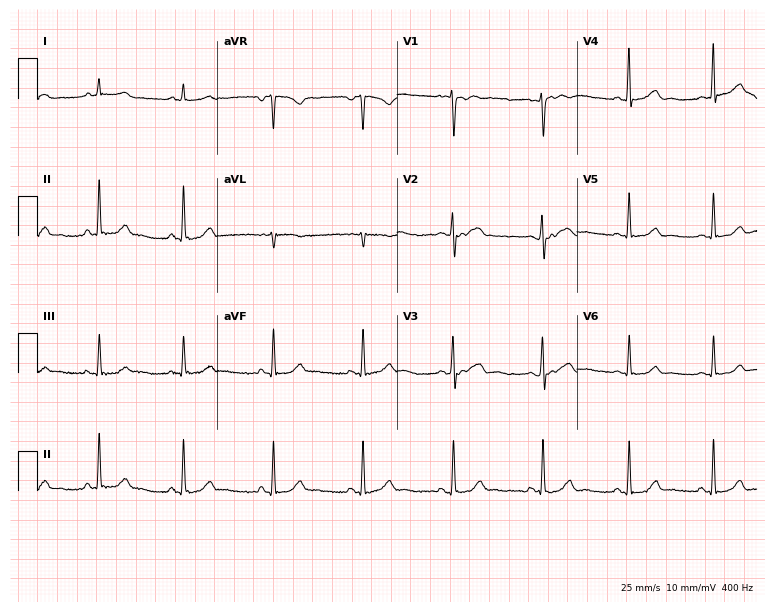
Resting 12-lead electrocardiogram. Patient: a woman, 35 years old. None of these six findings is recorded: first-degree AV block, right bundle branch block (RBBB), left bundle branch block (LBBB), sinus bradycardia, atrial fibrillation (AF), sinus tachycardia. Findings outside these six are not listed.